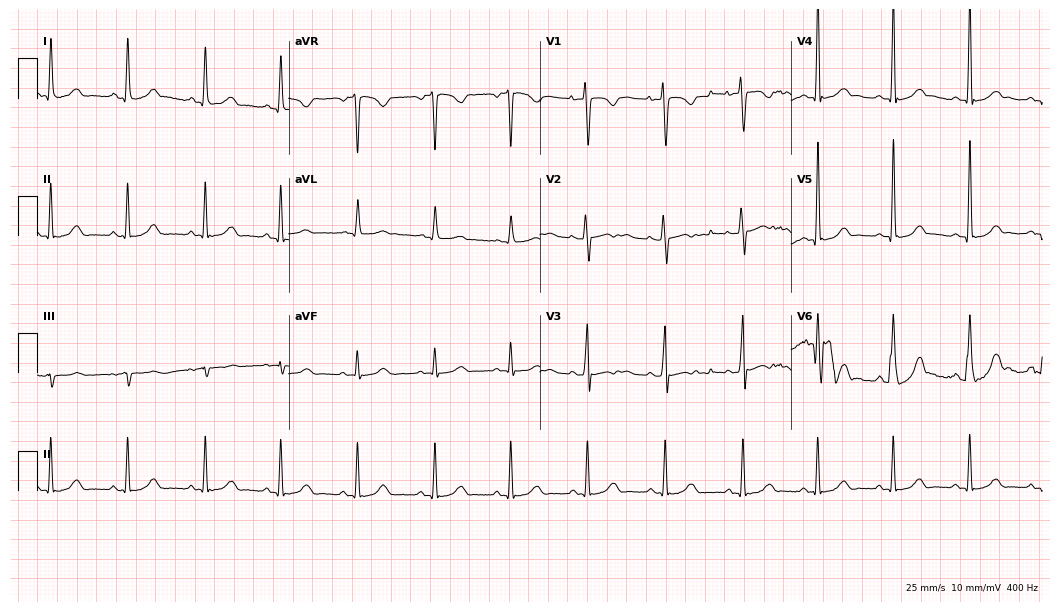
Electrocardiogram, a female patient, 26 years old. Of the six screened findings (first-degree AV block, right bundle branch block, left bundle branch block, sinus bradycardia, atrial fibrillation, sinus tachycardia), none is recorded.